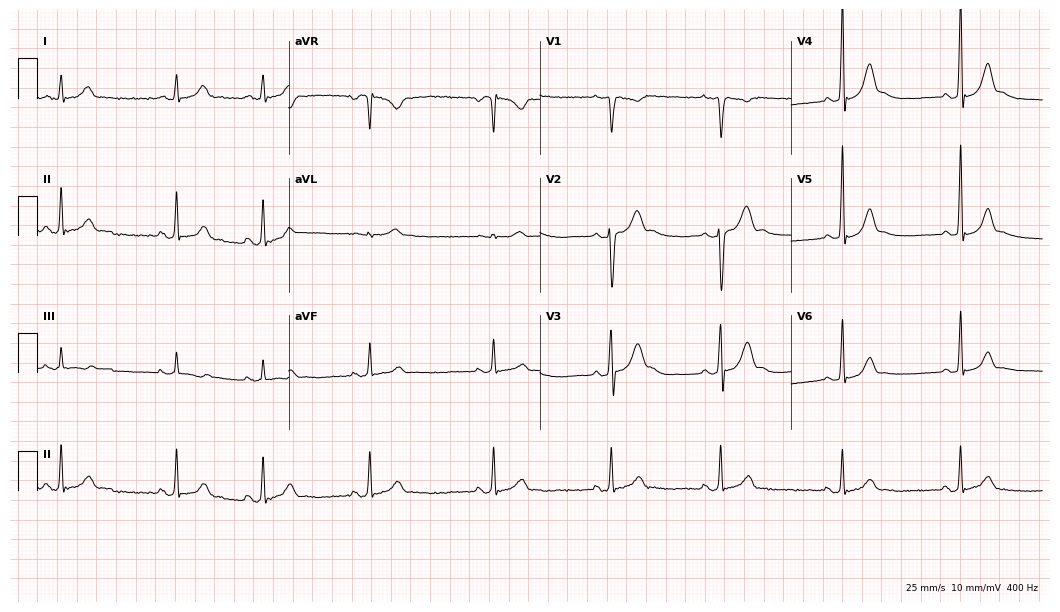
12-lead ECG from a 20-year-old man. Labelled as a normal ECG.